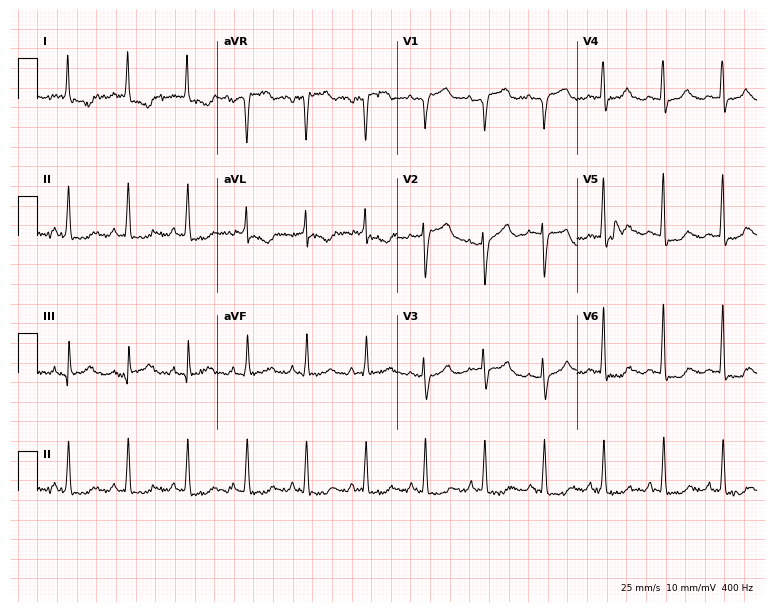
Standard 12-lead ECG recorded from a female, 48 years old (7.3-second recording at 400 Hz). None of these six findings is recorded: first-degree AV block, right bundle branch block, left bundle branch block, sinus bradycardia, atrial fibrillation, sinus tachycardia. Other findings, if any, are not listed.